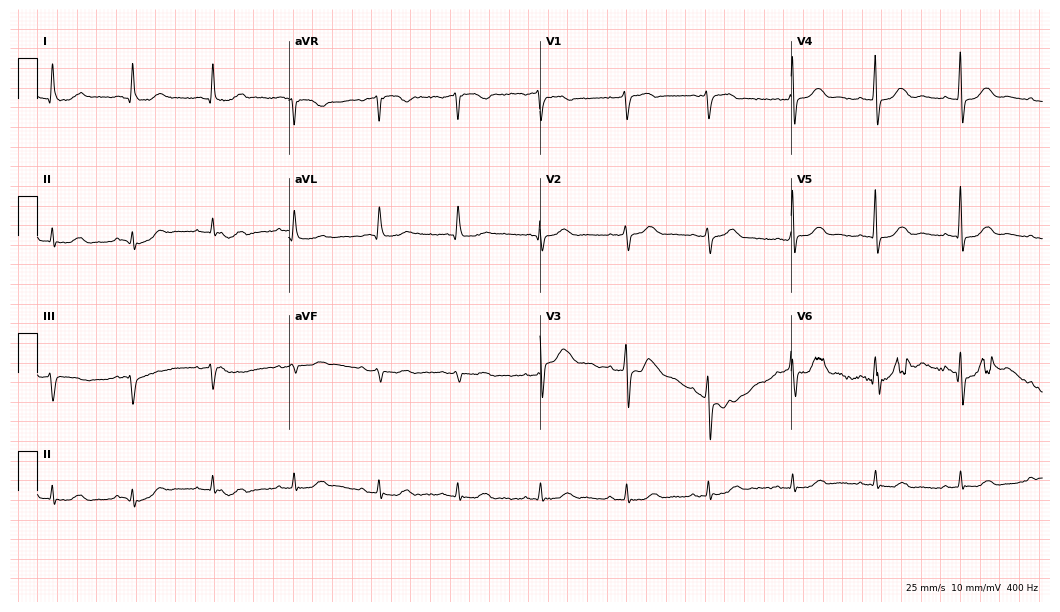
Resting 12-lead electrocardiogram. Patient: a woman, 78 years old. Read as a normal ECG.